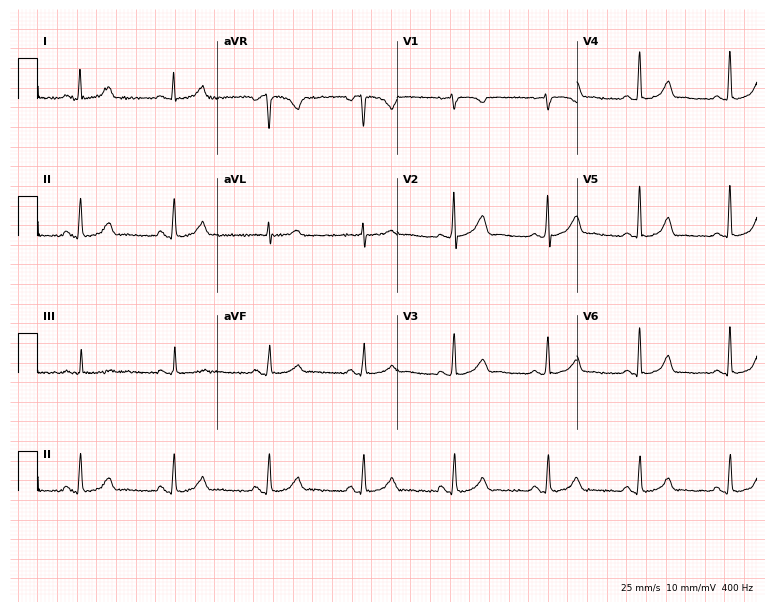
Electrocardiogram (7.3-second recording at 400 Hz), a female patient, 38 years old. Overall reading on record: normal ECG.